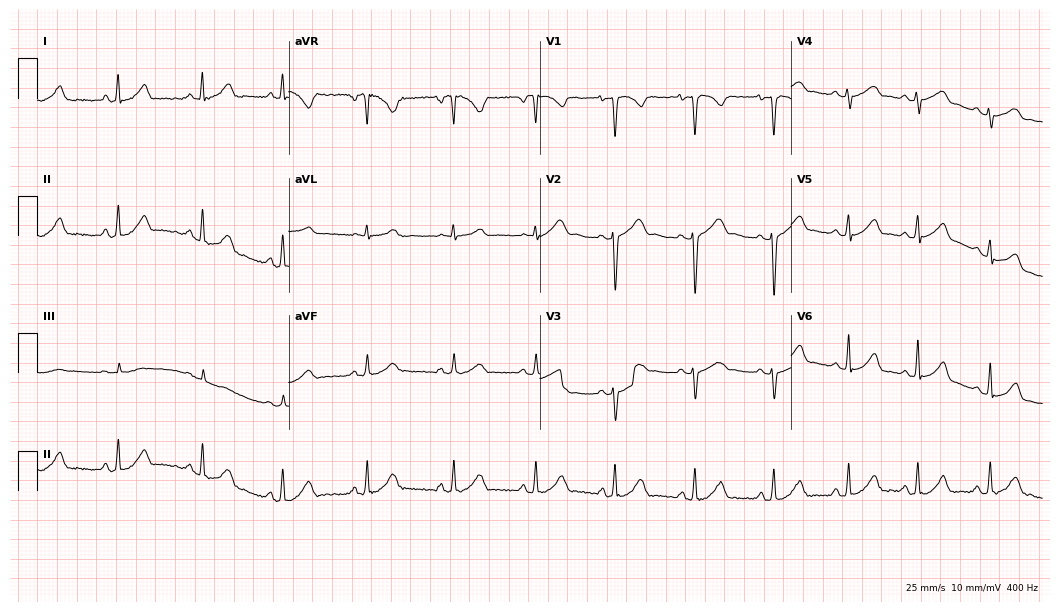
Standard 12-lead ECG recorded from a 34-year-old female patient (10.2-second recording at 400 Hz). Read as a normal ECG.